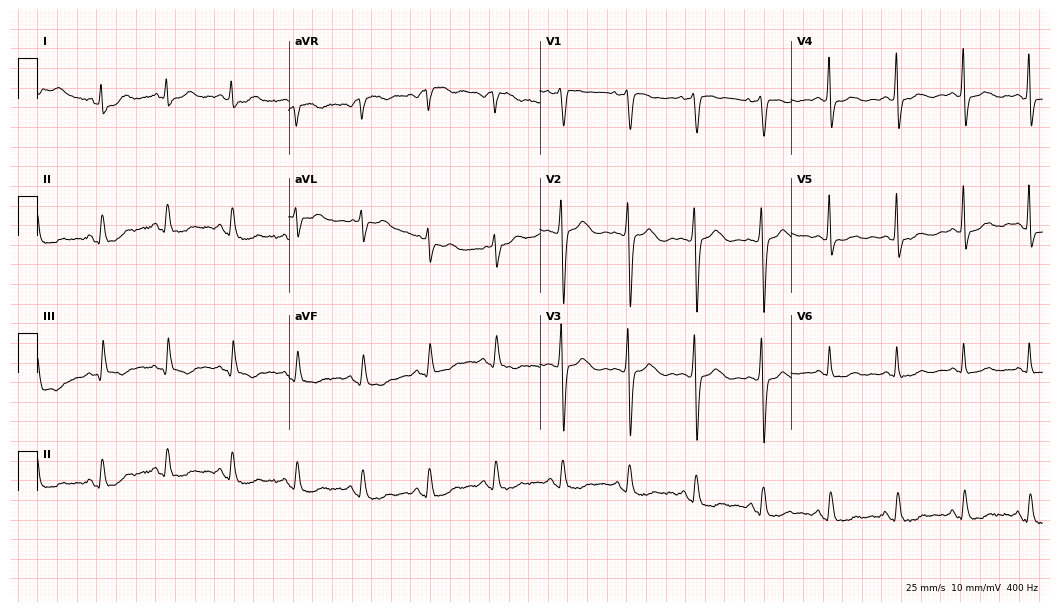
Resting 12-lead electrocardiogram (10.2-second recording at 400 Hz). Patient: a 44-year-old female. None of these six findings is recorded: first-degree AV block, right bundle branch block, left bundle branch block, sinus bradycardia, atrial fibrillation, sinus tachycardia.